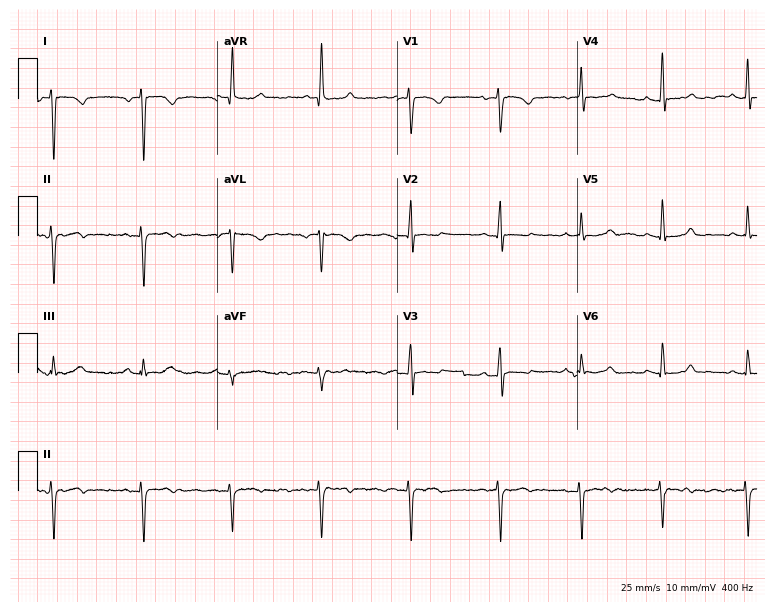
ECG — a 69-year-old woman. Screened for six findings — first-degree AV block, right bundle branch block, left bundle branch block, sinus bradycardia, atrial fibrillation, sinus tachycardia — none is recorded. Other findings, if any, are not listed.